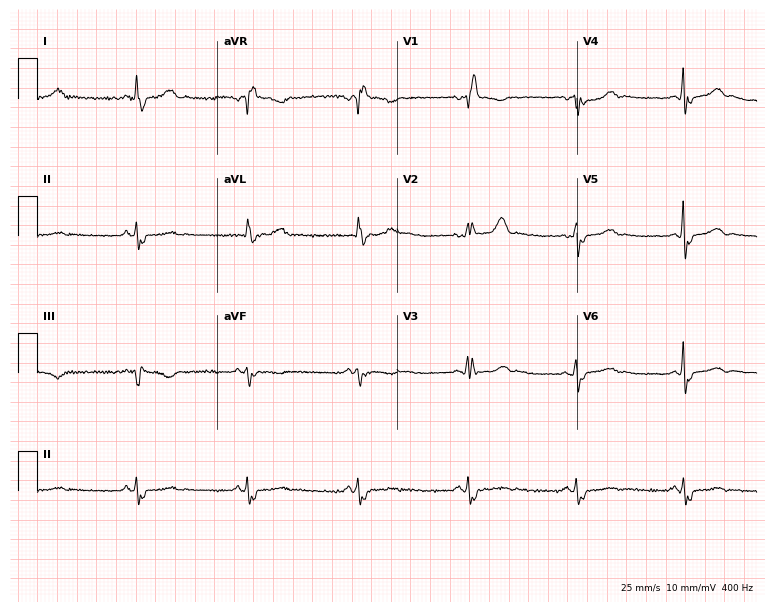
12-lead ECG (7.3-second recording at 400 Hz) from a 56-year-old woman. Findings include right bundle branch block.